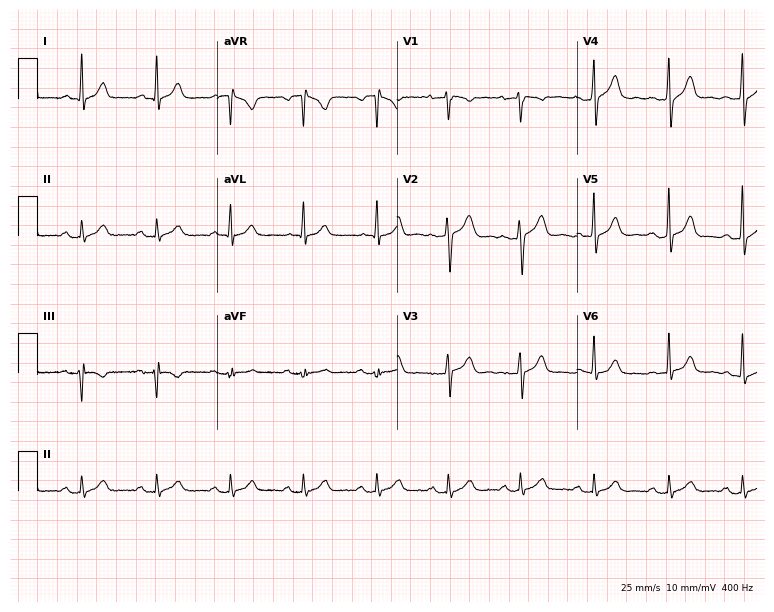
Resting 12-lead electrocardiogram. Patient: a 44-year-old male. Read as a normal ECG.